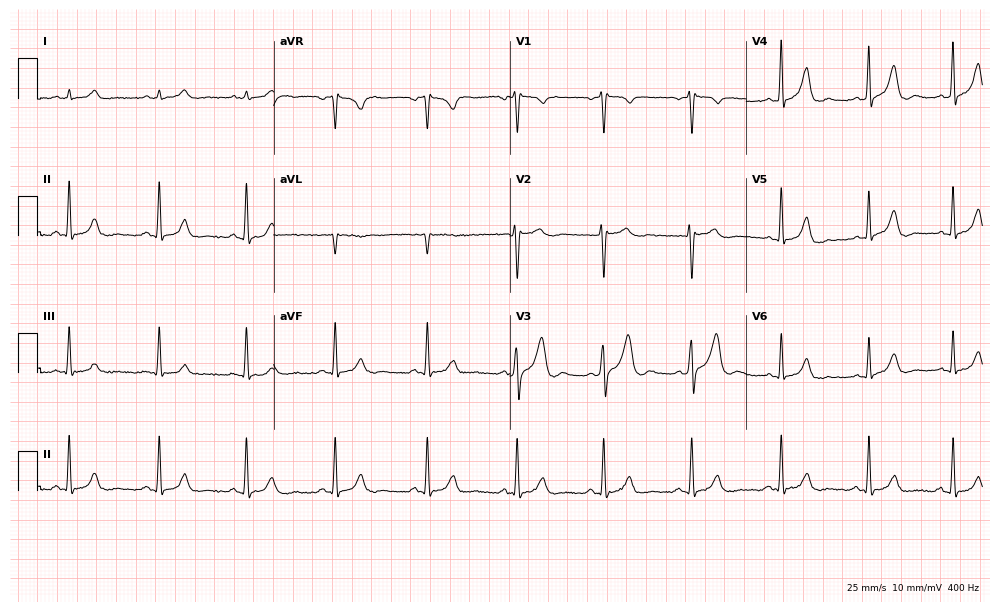
Resting 12-lead electrocardiogram. Patient: a 31-year-old man. None of these six findings is recorded: first-degree AV block, right bundle branch block, left bundle branch block, sinus bradycardia, atrial fibrillation, sinus tachycardia. Other findings, if any, are not listed.